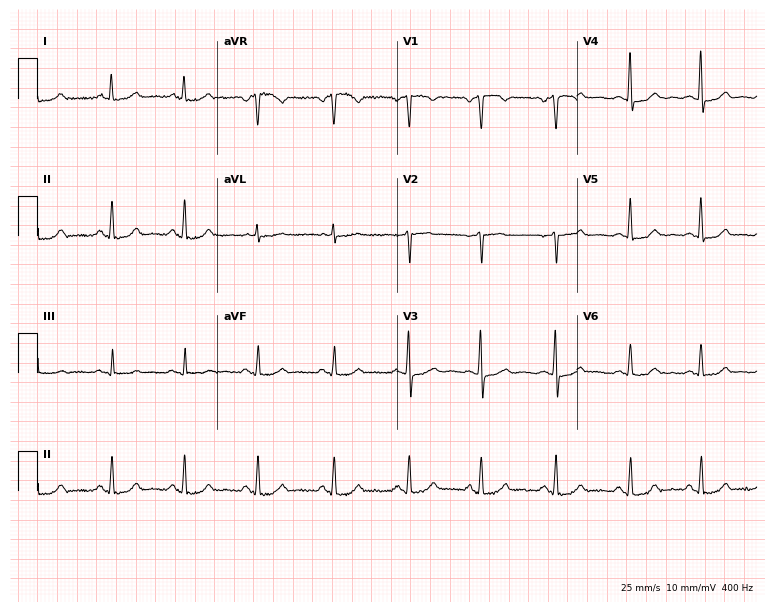
ECG (7.3-second recording at 400 Hz) — a female, 53 years old. Screened for six findings — first-degree AV block, right bundle branch block, left bundle branch block, sinus bradycardia, atrial fibrillation, sinus tachycardia — none is recorded.